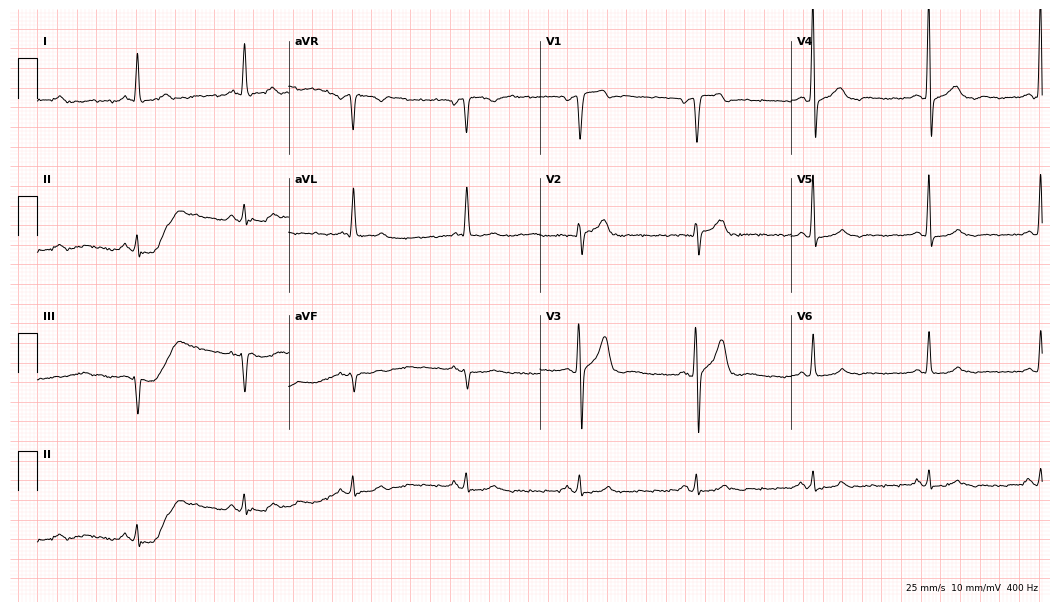
Electrocardiogram (10.2-second recording at 400 Hz), a male patient, 70 years old. Of the six screened findings (first-degree AV block, right bundle branch block, left bundle branch block, sinus bradycardia, atrial fibrillation, sinus tachycardia), none is recorded.